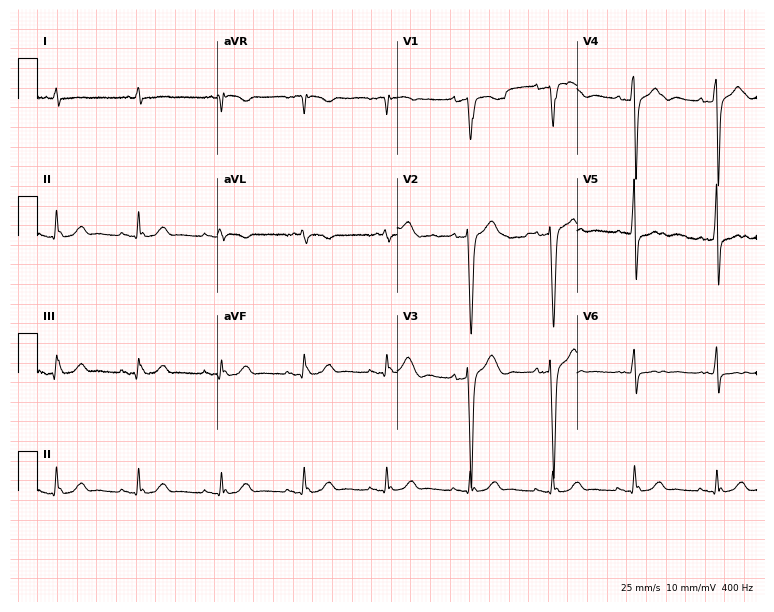
ECG — a 69-year-old male patient. Labelled as a normal ECG.